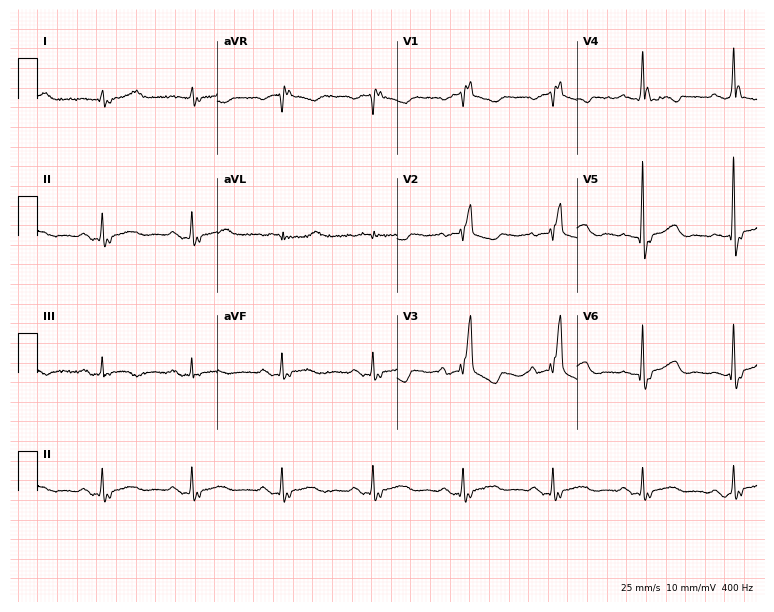
ECG — a female, 79 years old. Findings include right bundle branch block.